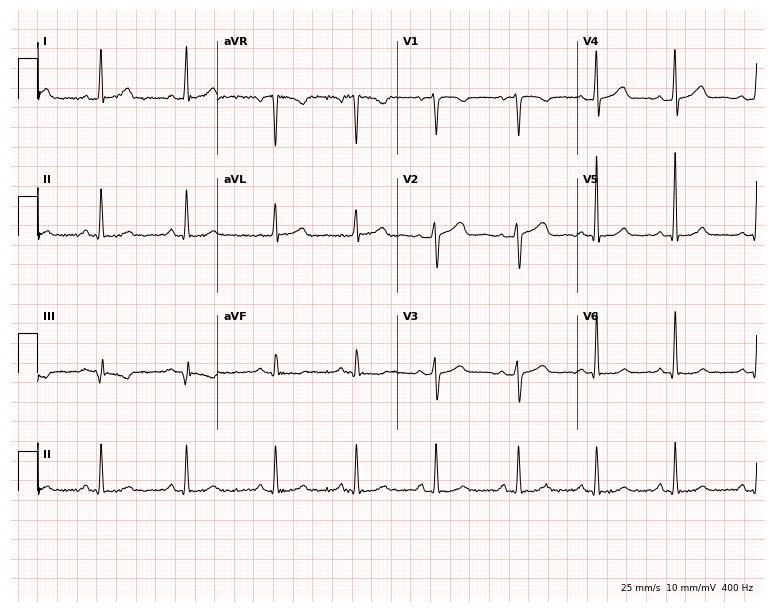
Resting 12-lead electrocardiogram. Patient: a female, 49 years old. None of these six findings is recorded: first-degree AV block, right bundle branch block, left bundle branch block, sinus bradycardia, atrial fibrillation, sinus tachycardia.